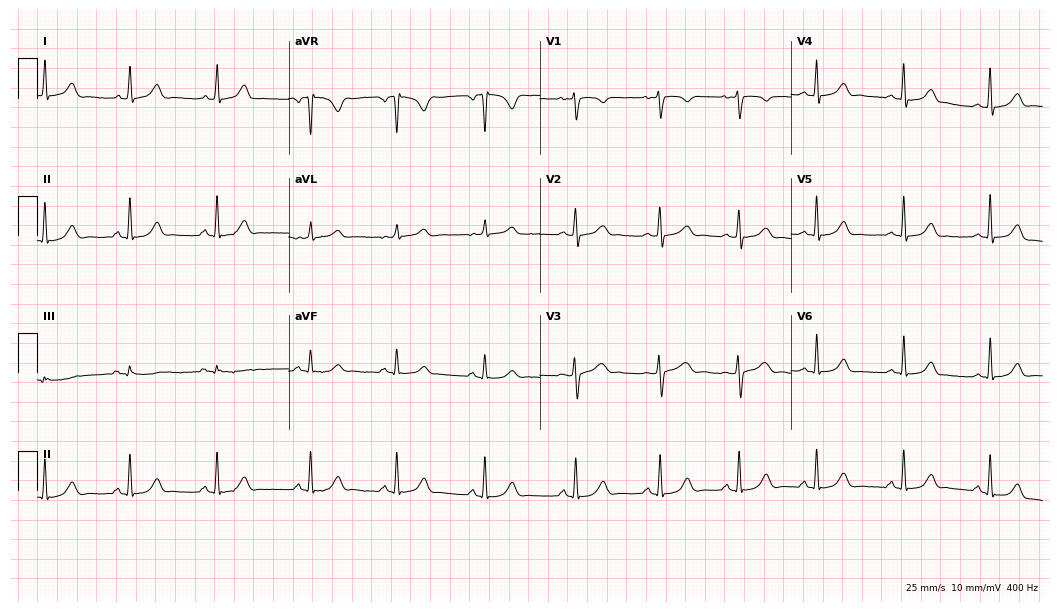
12-lead ECG from a female, 29 years old (10.2-second recording at 400 Hz). No first-degree AV block, right bundle branch block (RBBB), left bundle branch block (LBBB), sinus bradycardia, atrial fibrillation (AF) or sinus tachycardia recorded for this tracing. Only these six findings were labelled.